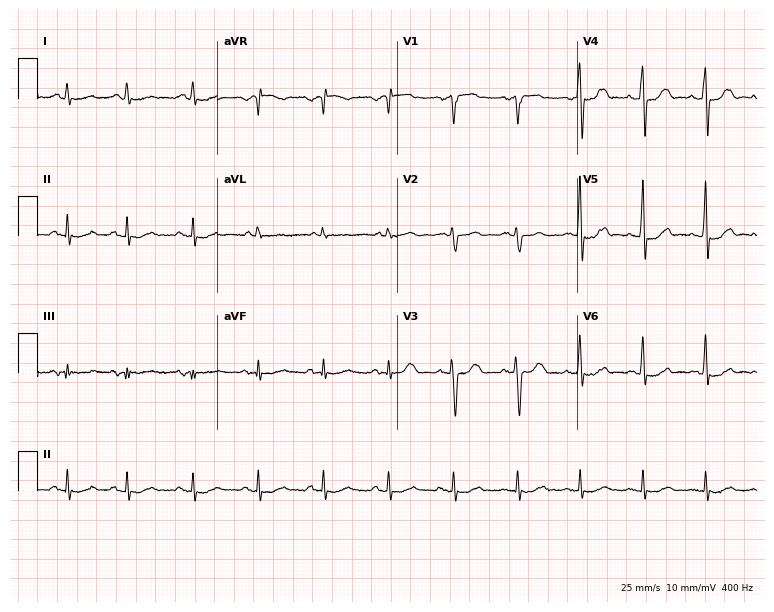
Standard 12-lead ECG recorded from a male, 75 years old (7.3-second recording at 400 Hz). None of these six findings is recorded: first-degree AV block, right bundle branch block, left bundle branch block, sinus bradycardia, atrial fibrillation, sinus tachycardia. Findings outside these six are not listed.